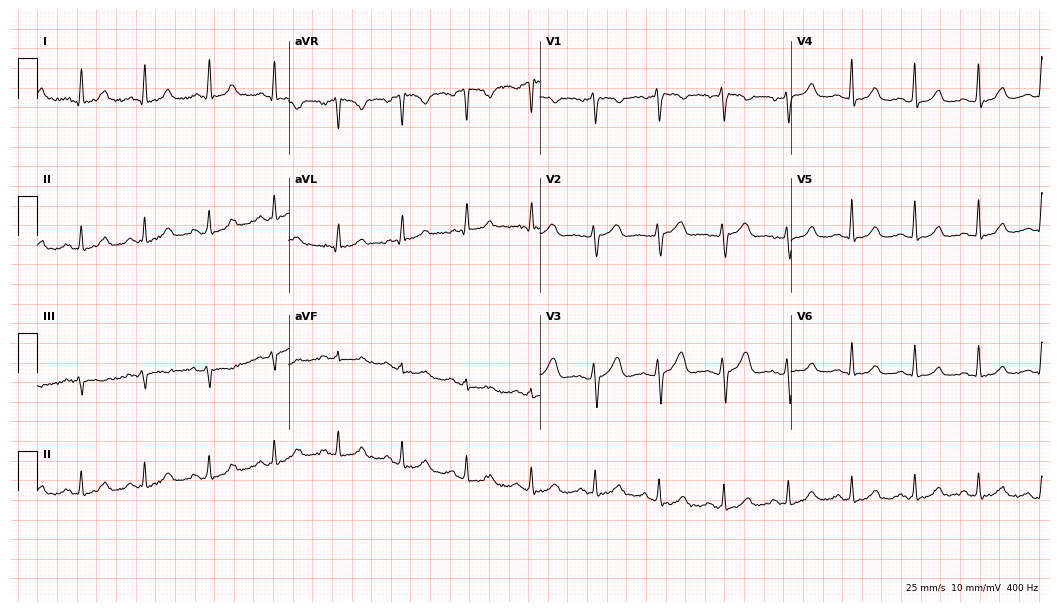
ECG (10.2-second recording at 400 Hz) — a female, 54 years old. Labelled as a normal ECG.